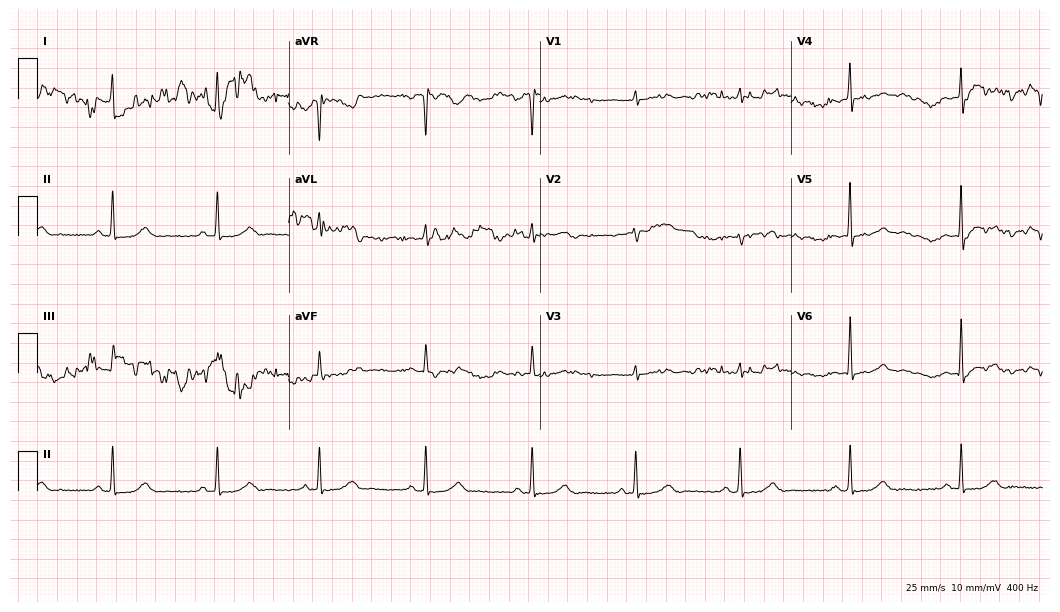
Resting 12-lead electrocardiogram. Patient: a woman, 39 years old. None of these six findings is recorded: first-degree AV block, right bundle branch block, left bundle branch block, sinus bradycardia, atrial fibrillation, sinus tachycardia.